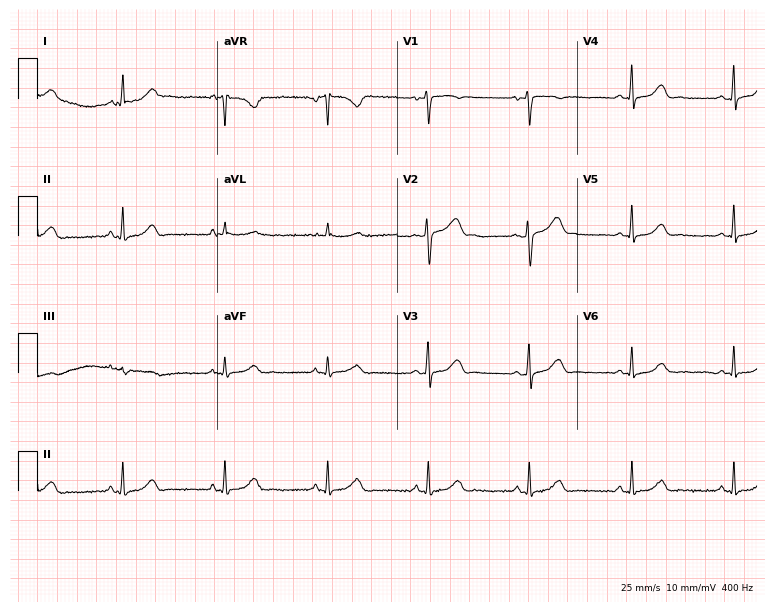
12-lead ECG (7.3-second recording at 400 Hz) from a 48-year-old female. Screened for six findings — first-degree AV block, right bundle branch block, left bundle branch block, sinus bradycardia, atrial fibrillation, sinus tachycardia — none is recorded.